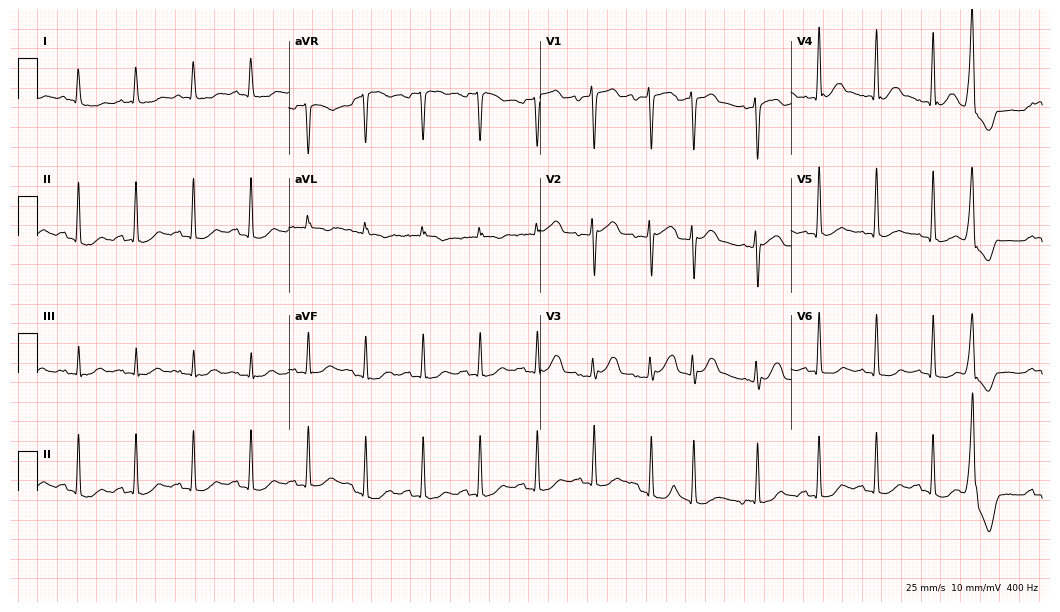
ECG — a female, 63 years old. Findings include sinus tachycardia (a sinus rate of 100 beats per minute or more).